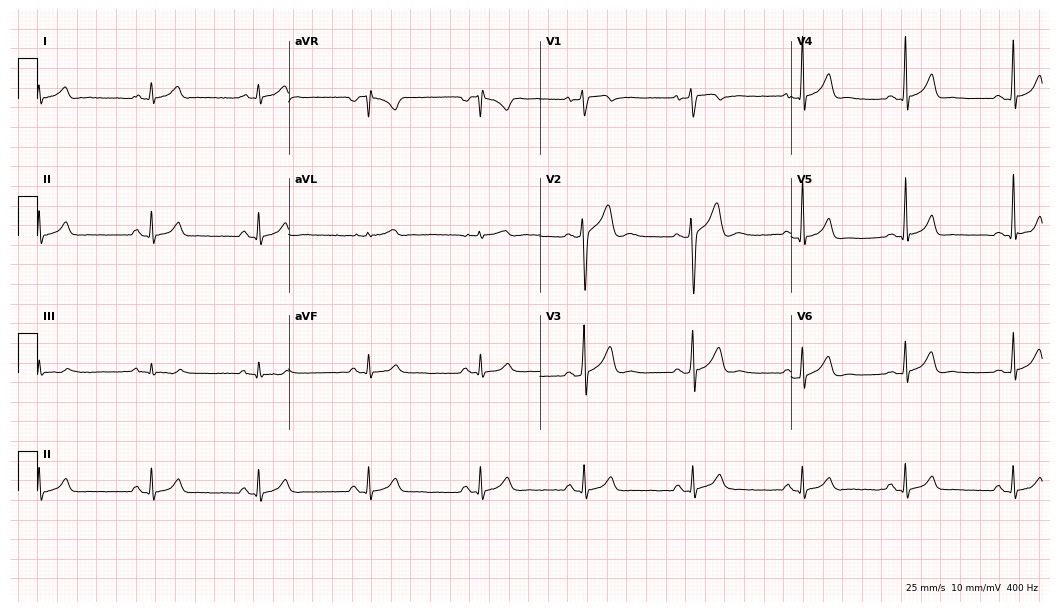
Resting 12-lead electrocardiogram. Patient: a 36-year-old male. Read as a normal ECG.